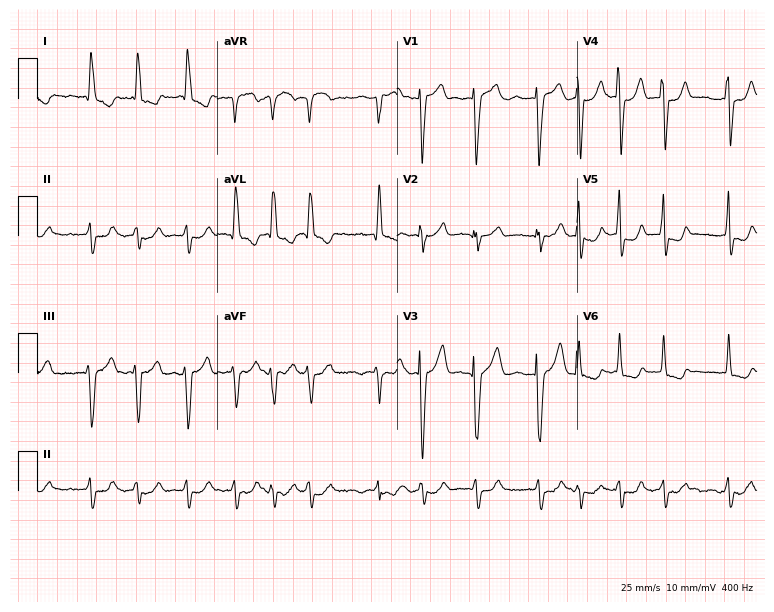
Resting 12-lead electrocardiogram. Patient: a 73-year-old woman. The tracing shows atrial fibrillation.